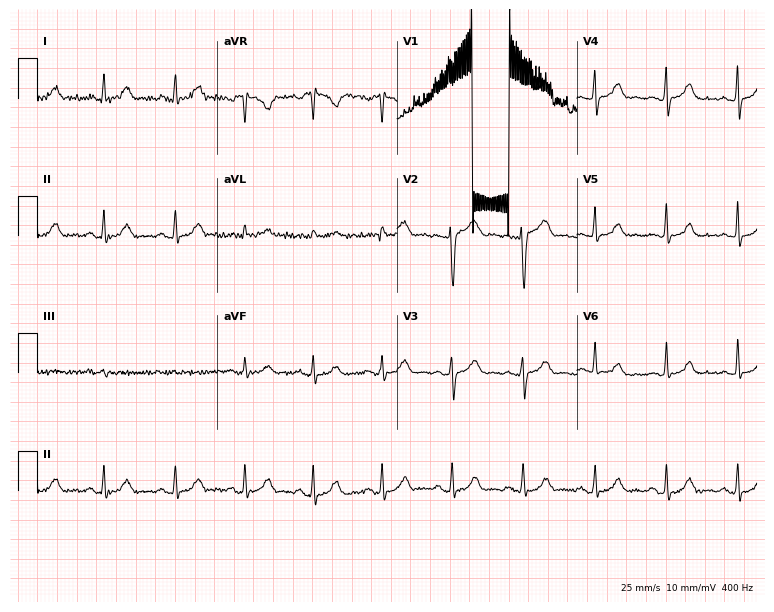
12-lead ECG from a 49-year-old woman. Screened for six findings — first-degree AV block, right bundle branch block, left bundle branch block, sinus bradycardia, atrial fibrillation, sinus tachycardia — none is recorded. Findings outside these six are not listed.